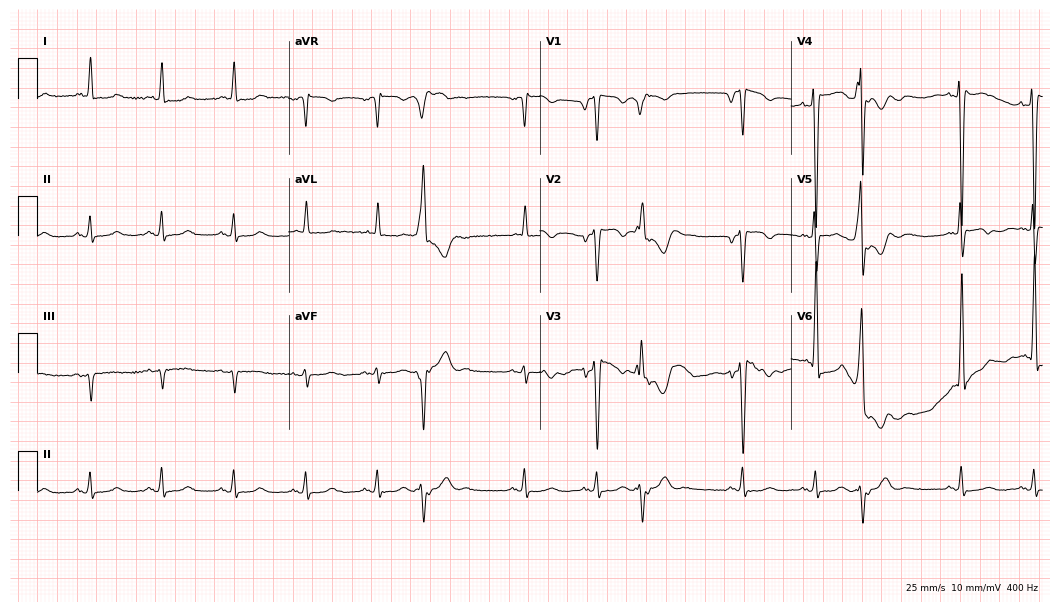
Electrocardiogram (10.2-second recording at 400 Hz), an 85-year-old woman. Of the six screened findings (first-degree AV block, right bundle branch block (RBBB), left bundle branch block (LBBB), sinus bradycardia, atrial fibrillation (AF), sinus tachycardia), none is recorded. Only these six findings were labelled.